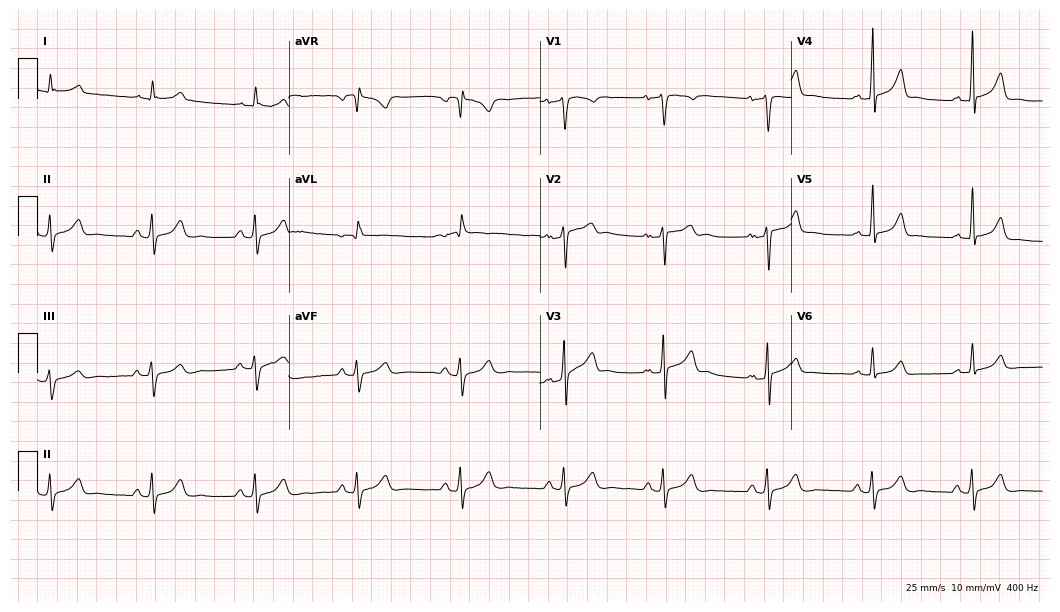
Resting 12-lead electrocardiogram. Patient: a man, 42 years old. None of these six findings is recorded: first-degree AV block, right bundle branch block (RBBB), left bundle branch block (LBBB), sinus bradycardia, atrial fibrillation (AF), sinus tachycardia.